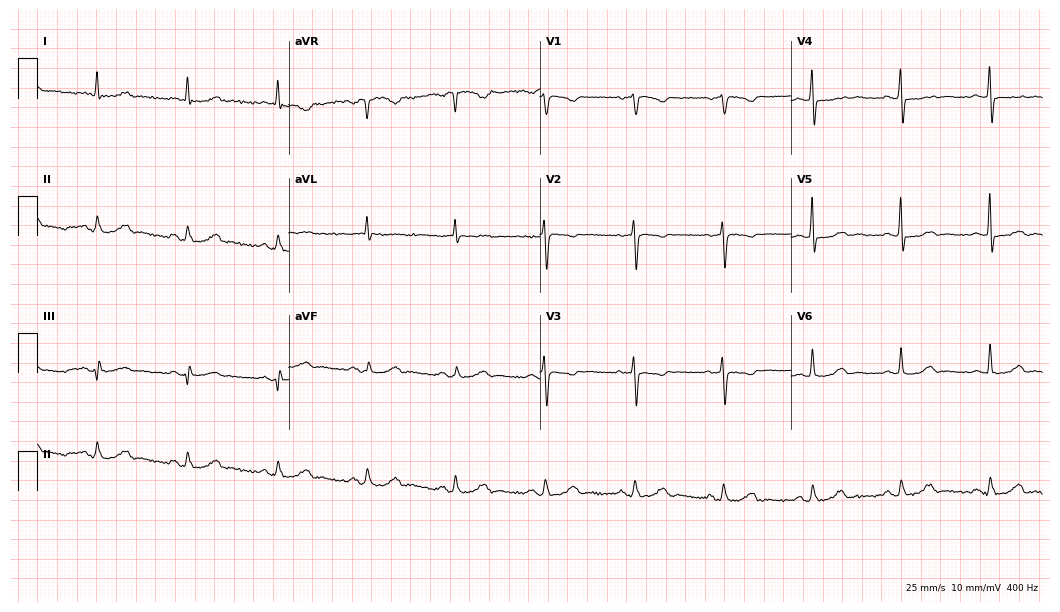
12-lead ECG from a 66-year-old female. Screened for six findings — first-degree AV block, right bundle branch block, left bundle branch block, sinus bradycardia, atrial fibrillation, sinus tachycardia — none is recorded. Findings outside these six are not listed.